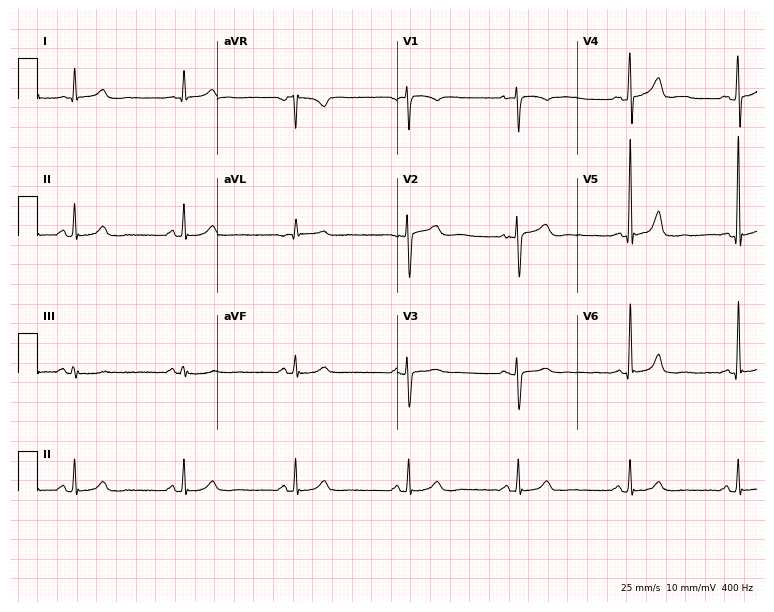
12-lead ECG (7.3-second recording at 400 Hz) from a 63-year-old female. Labelled as a normal ECG.